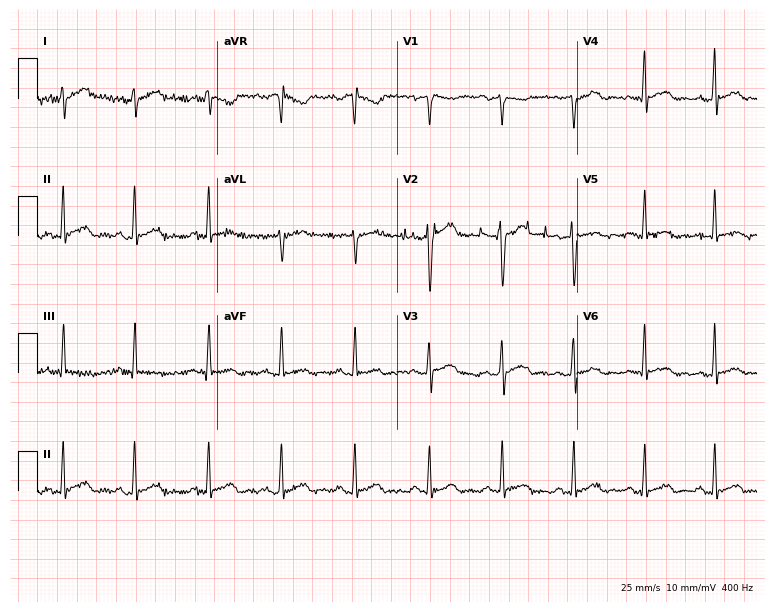
ECG (7.3-second recording at 400 Hz) — a 29-year-old male. Labelled as a normal ECG.